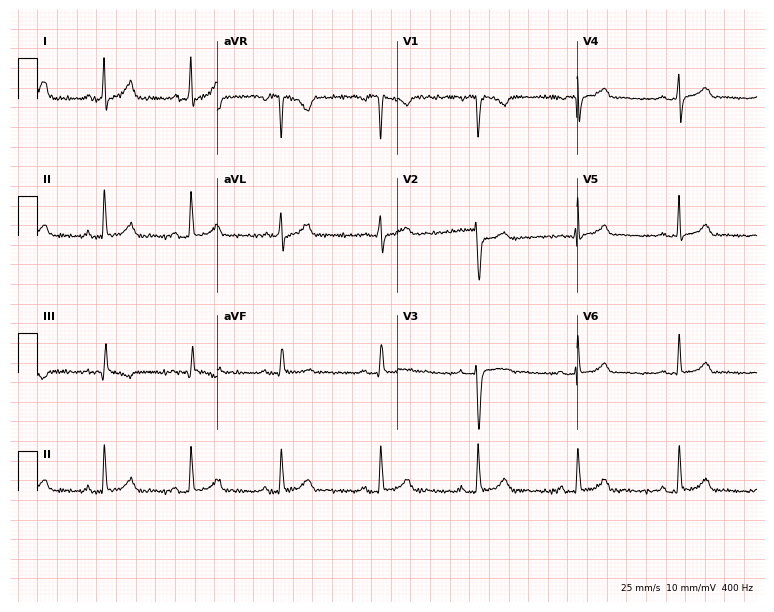
Electrocardiogram (7.3-second recording at 400 Hz), a 23-year-old female. Overall reading on record: normal ECG.